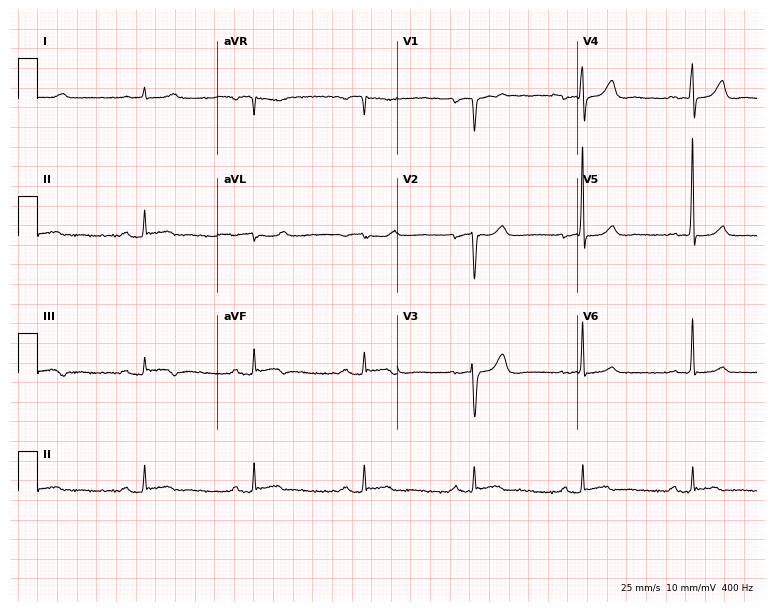
Standard 12-lead ECG recorded from a male, 85 years old (7.3-second recording at 400 Hz). Read as a normal ECG.